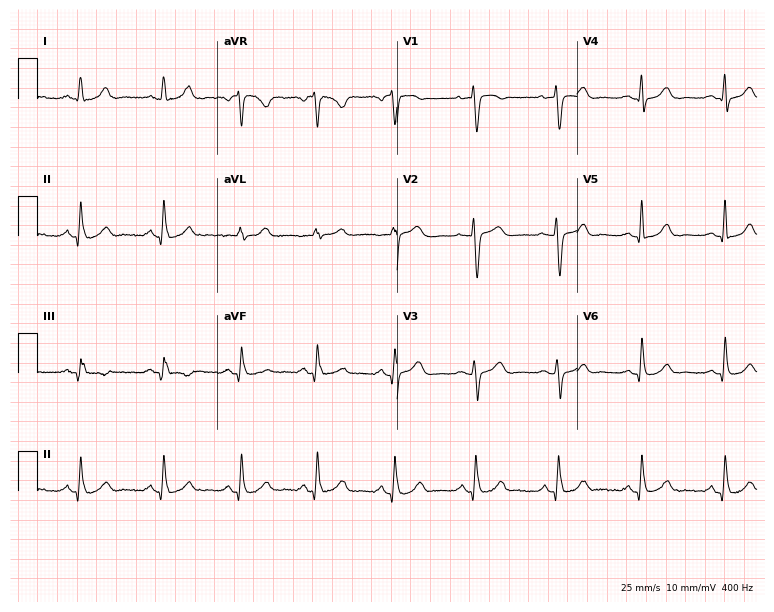
Electrocardiogram (7.3-second recording at 400 Hz), a 37-year-old female patient. Overall reading on record: normal ECG.